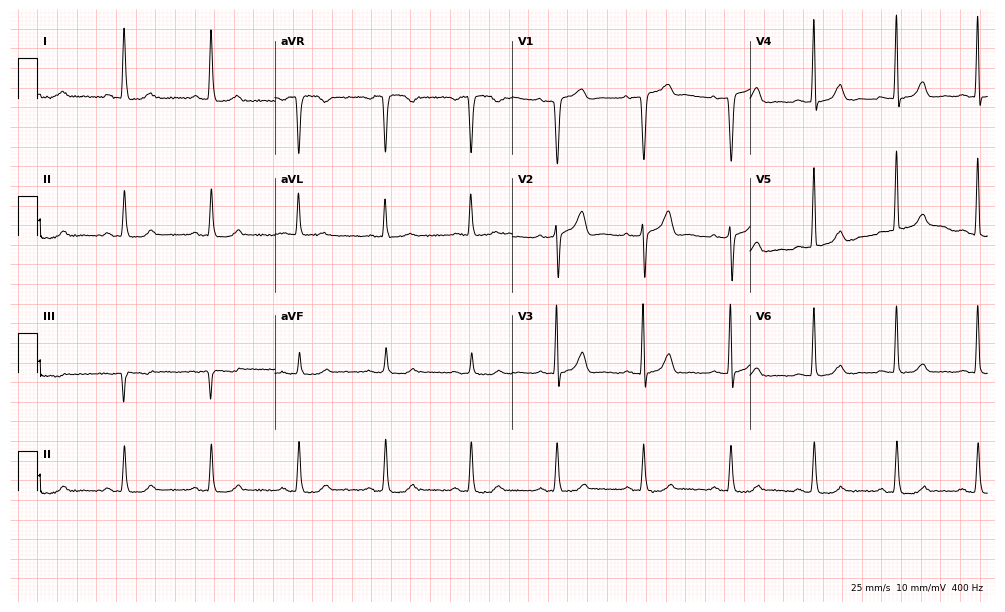
ECG (9.7-second recording at 400 Hz) — a 63-year-old woman. Labelled as a normal ECG.